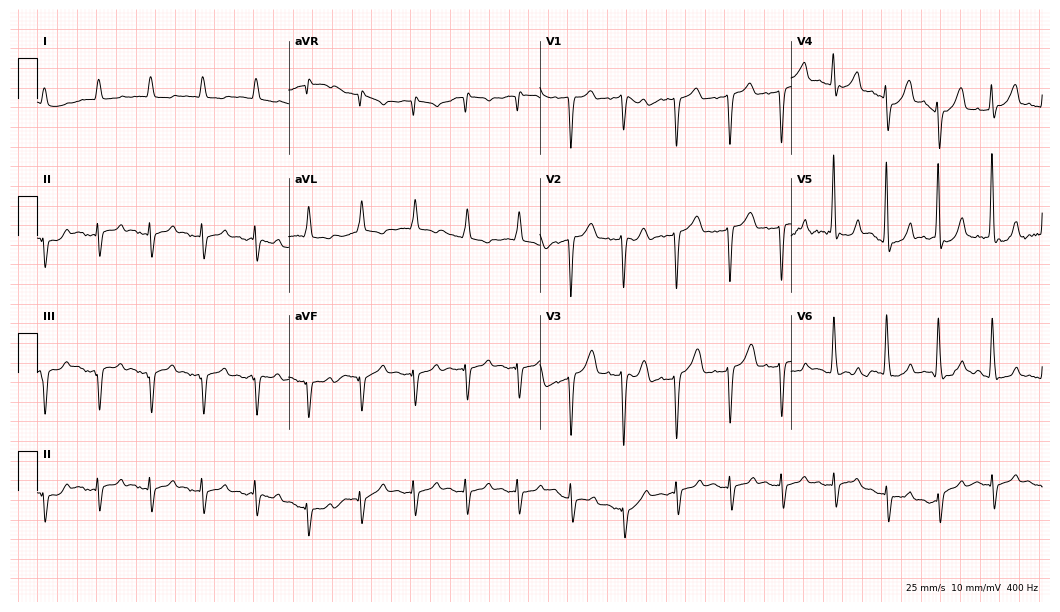
12-lead ECG from an 89-year-old man (10.2-second recording at 400 Hz). Shows sinus tachycardia (a sinus rate of 100 beats per minute or more).